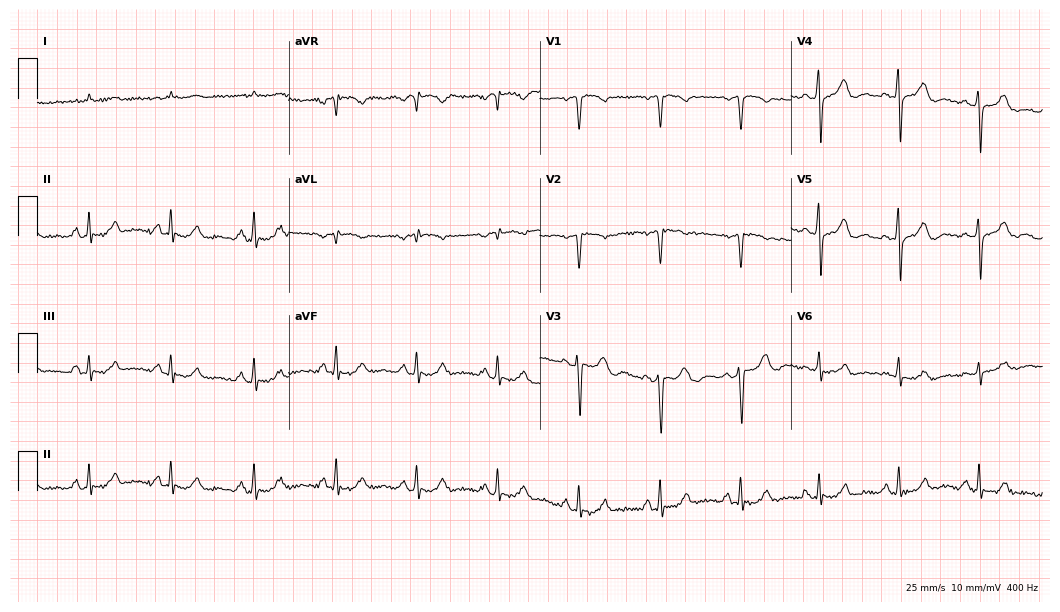
Resting 12-lead electrocardiogram (10.2-second recording at 400 Hz). Patient: a male, 80 years old. None of these six findings is recorded: first-degree AV block, right bundle branch block, left bundle branch block, sinus bradycardia, atrial fibrillation, sinus tachycardia. Findings outside these six are not listed.